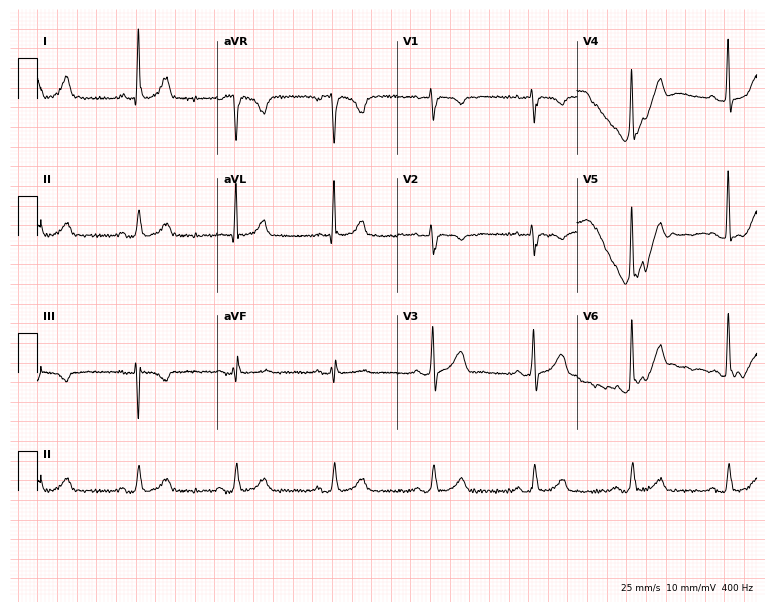
Electrocardiogram (7.3-second recording at 400 Hz), a male patient, 61 years old. Of the six screened findings (first-degree AV block, right bundle branch block, left bundle branch block, sinus bradycardia, atrial fibrillation, sinus tachycardia), none is recorded.